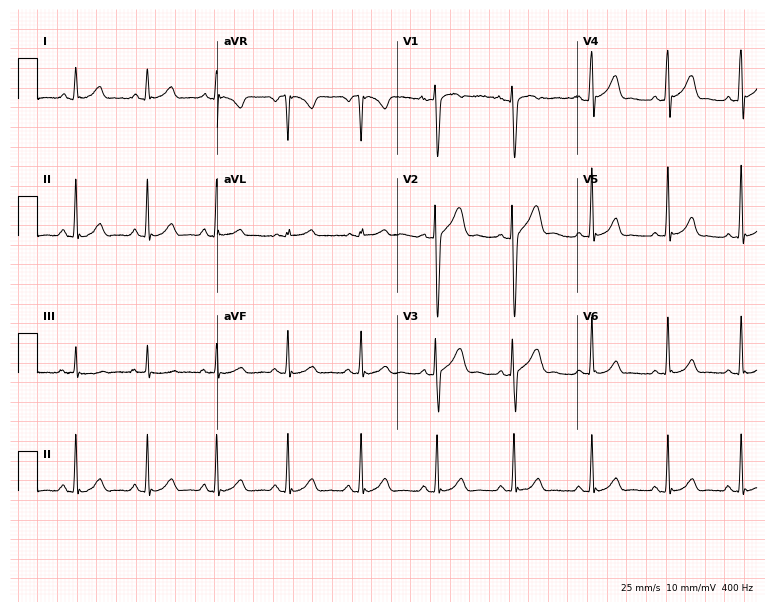
ECG — a 30-year-old female patient. Labelled as a normal ECG.